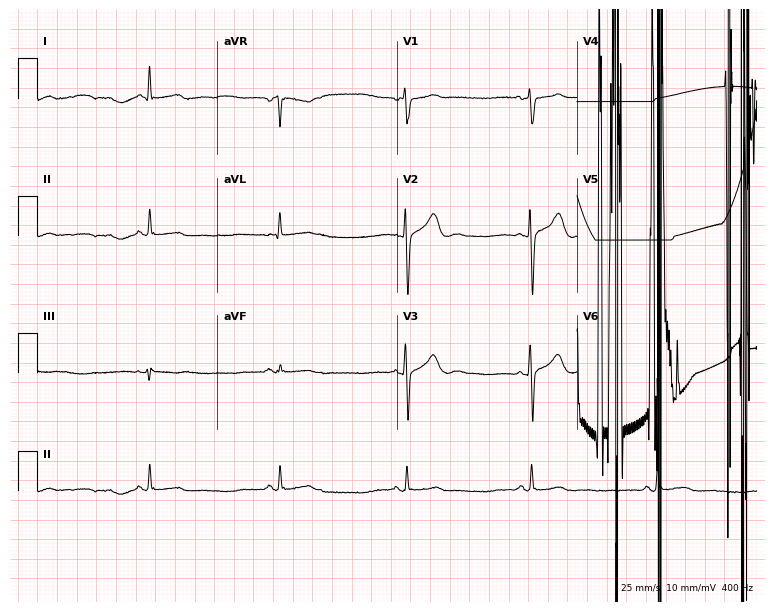
Electrocardiogram, a 38-year-old man. Interpretation includes atrial fibrillation (AF).